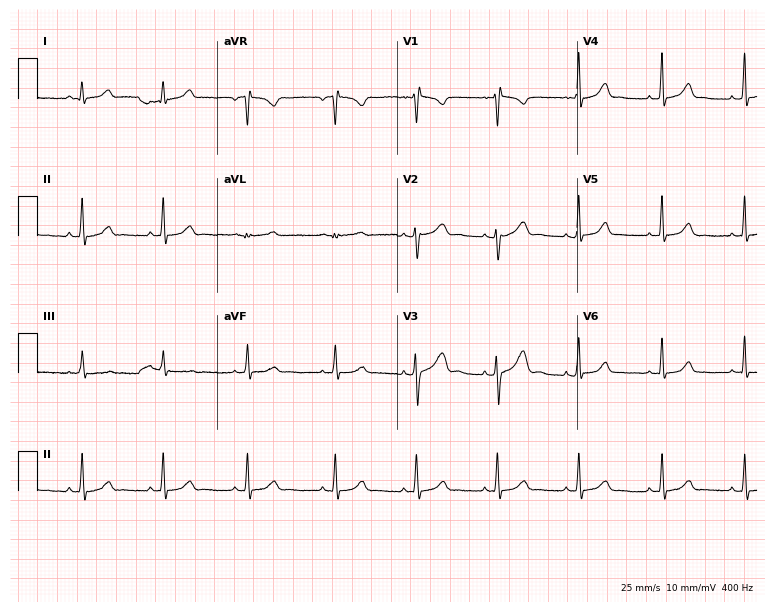
ECG — a female, 23 years old. Labelled as a normal ECG.